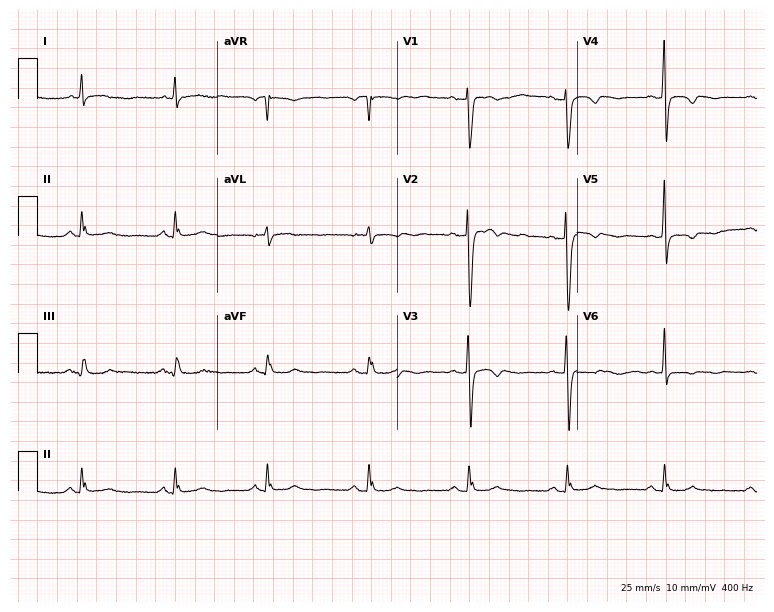
12-lead ECG from a 48-year-old female. No first-degree AV block, right bundle branch block (RBBB), left bundle branch block (LBBB), sinus bradycardia, atrial fibrillation (AF) or sinus tachycardia recorded for this tracing.